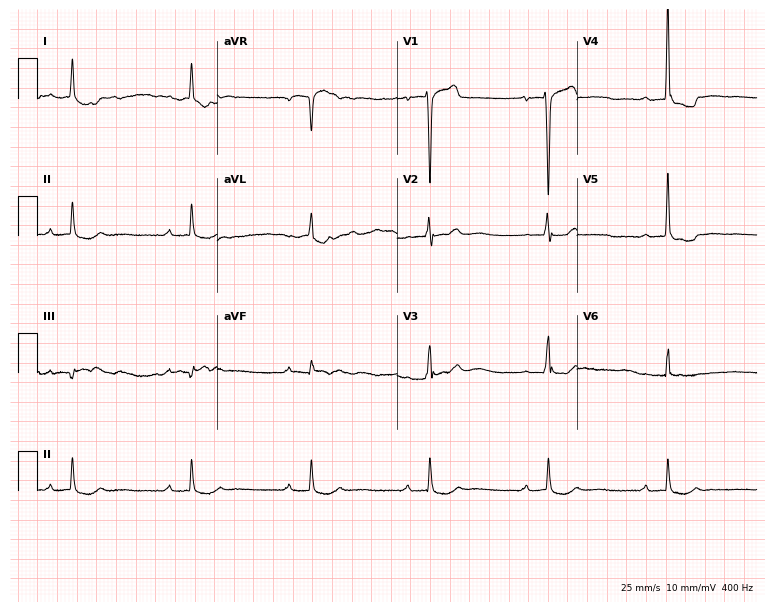
Electrocardiogram (7.3-second recording at 400 Hz), a female, 79 years old. Of the six screened findings (first-degree AV block, right bundle branch block, left bundle branch block, sinus bradycardia, atrial fibrillation, sinus tachycardia), none is recorded.